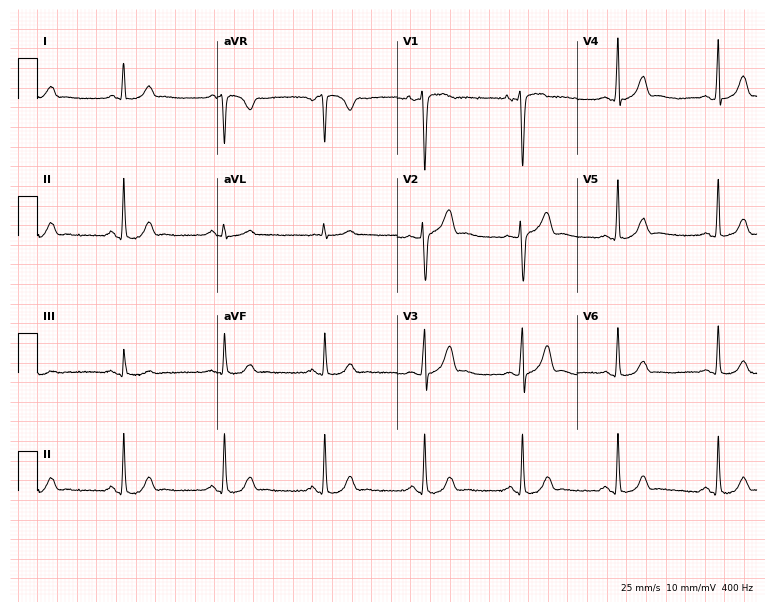
12-lead ECG (7.3-second recording at 400 Hz) from a male patient, 43 years old. Labelled as a normal ECG.